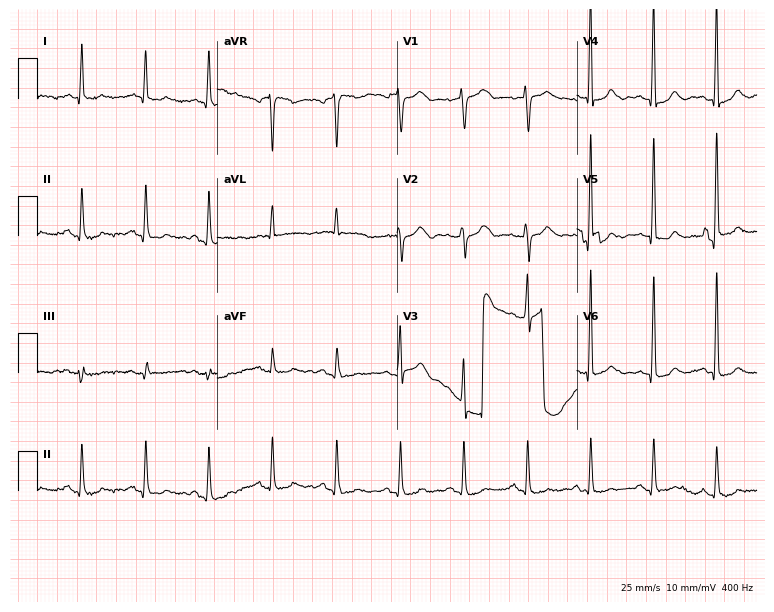
Electrocardiogram (7.3-second recording at 400 Hz), a female patient, 65 years old. Of the six screened findings (first-degree AV block, right bundle branch block (RBBB), left bundle branch block (LBBB), sinus bradycardia, atrial fibrillation (AF), sinus tachycardia), none is recorded.